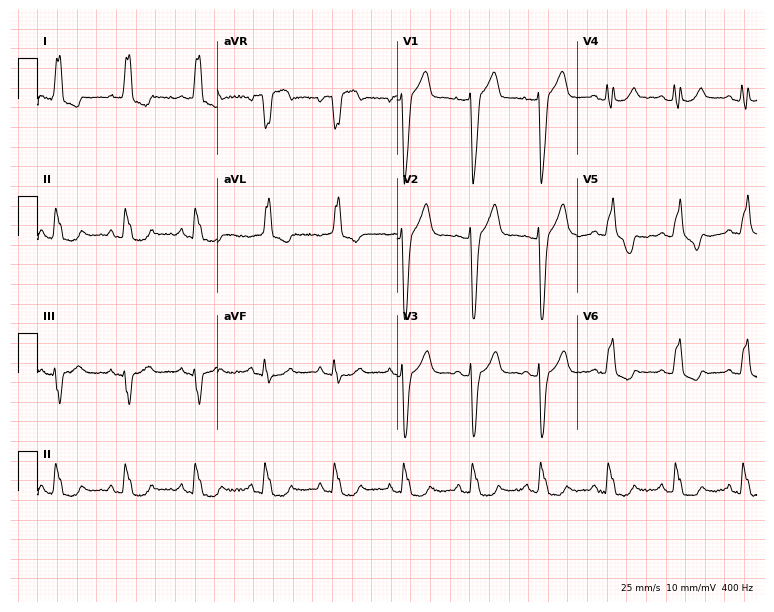
Standard 12-lead ECG recorded from a female patient, 72 years old (7.3-second recording at 400 Hz). The tracing shows left bundle branch block.